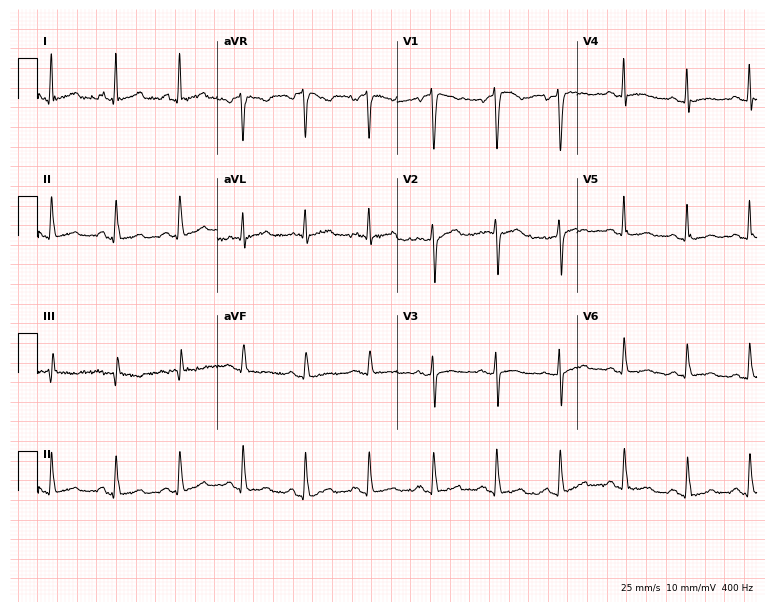
Resting 12-lead electrocardiogram (7.3-second recording at 400 Hz). Patient: a female, 51 years old. Read as a normal ECG.